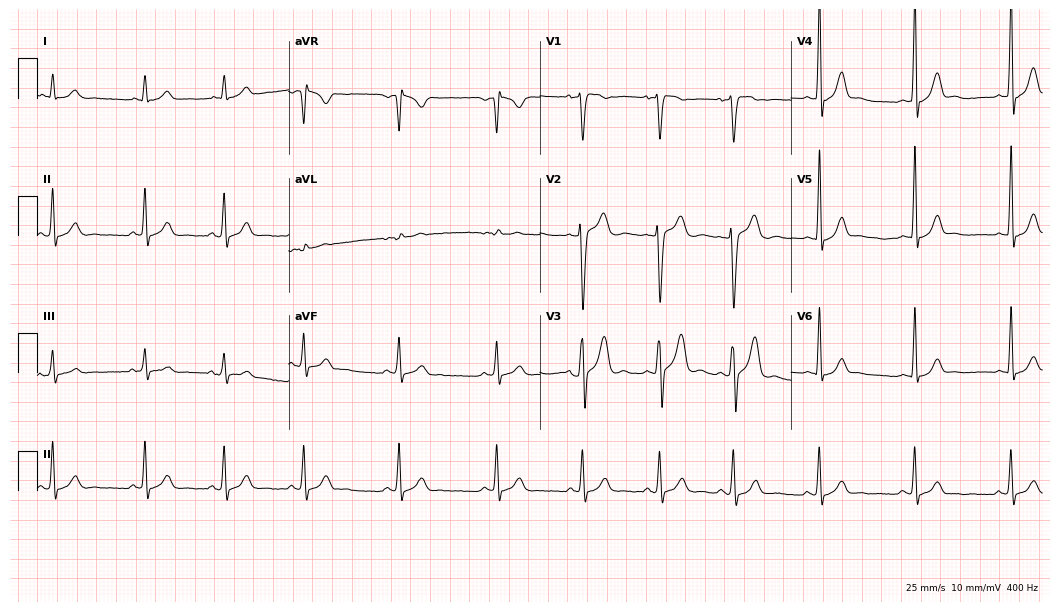
Electrocardiogram (10.2-second recording at 400 Hz), a 37-year-old female patient. Of the six screened findings (first-degree AV block, right bundle branch block, left bundle branch block, sinus bradycardia, atrial fibrillation, sinus tachycardia), none is recorded. Only these six findings were labelled.